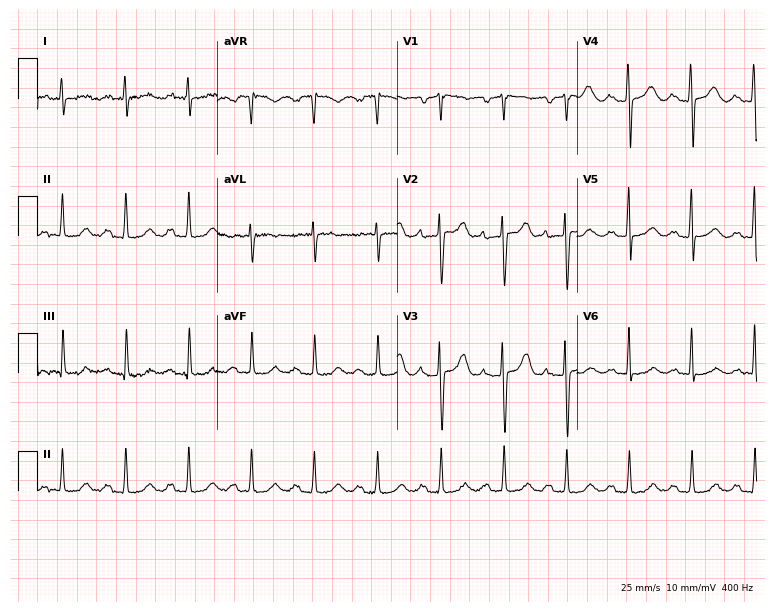
12-lead ECG from a woman, 80 years old. Shows first-degree AV block.